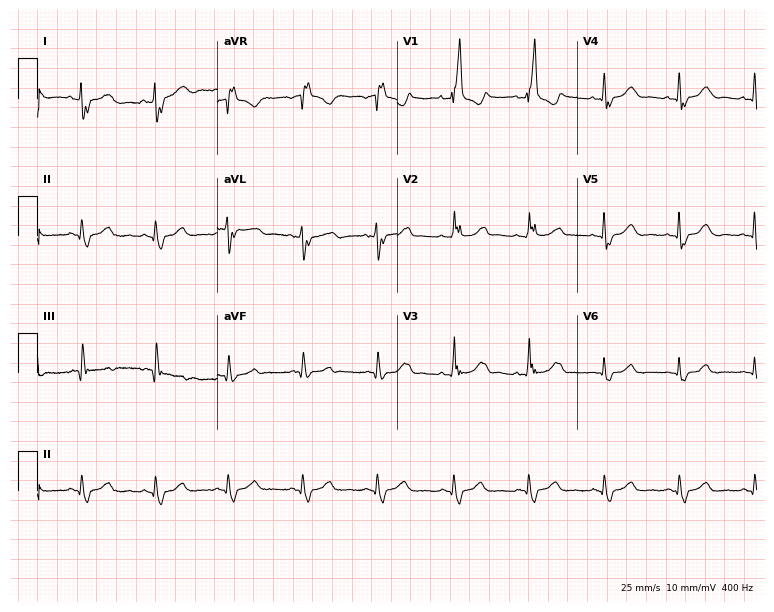
Electrocardiogram, a woman, 80 years old. Interpretation includes right bundle branch block (RBBB).